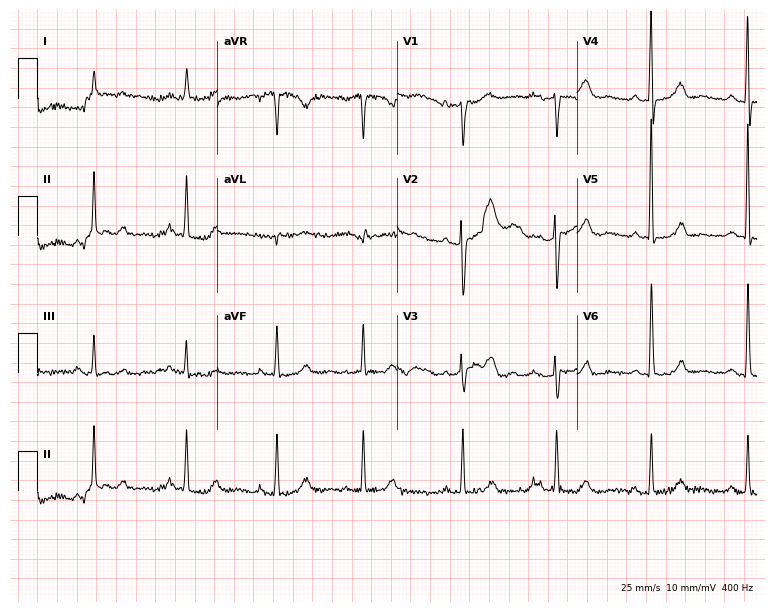
12-lead ECG from a woman, 65 years old (7.3-second recording at 400 Hz). Recorded interpretation: within normal limits.